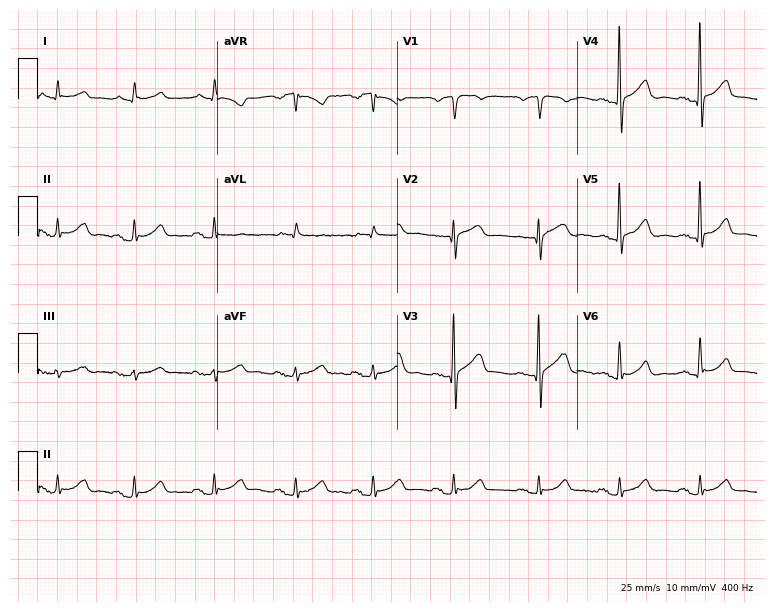
ECG (7.3-second recording at 400 Hz) — a 57-year-old male patient. Labelled as a normal ECG.